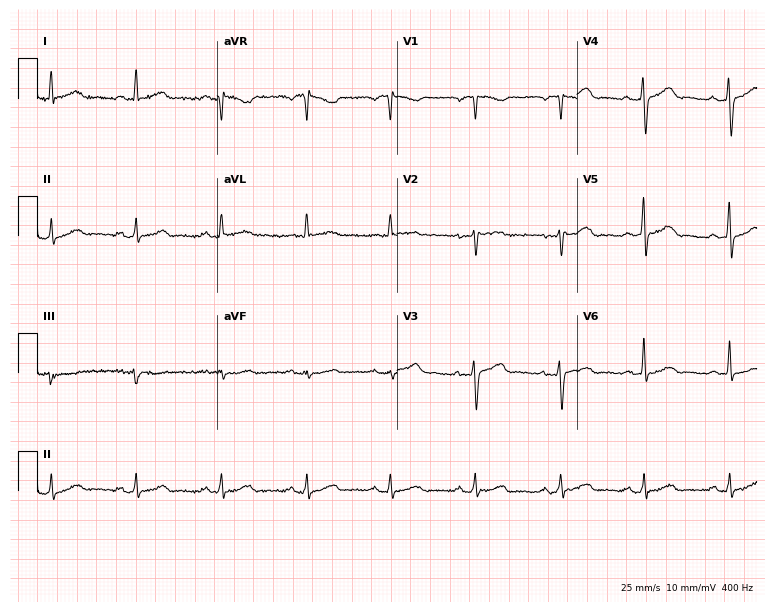
12-lead ECG from a 58-year-old woman. Screened for six findings — first-degree AV block, right bundle branch block, left bundle branch block, sinus bradycardia, atrial fibrillation, sinus tachycardia — none is recorded. Other findings, if any, are not listed.